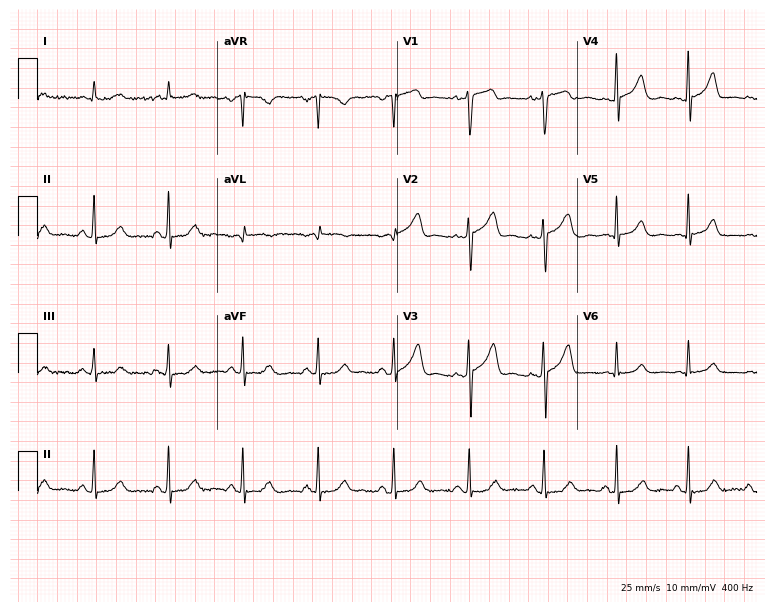
12-lead ECG from a male, 85 years old. Screened for six findings — first-degree AV block, right bundle branch block, left bundle branch block, sinus bradycardia, atrial fibrillation, sinus tachycardia — none is recorded.